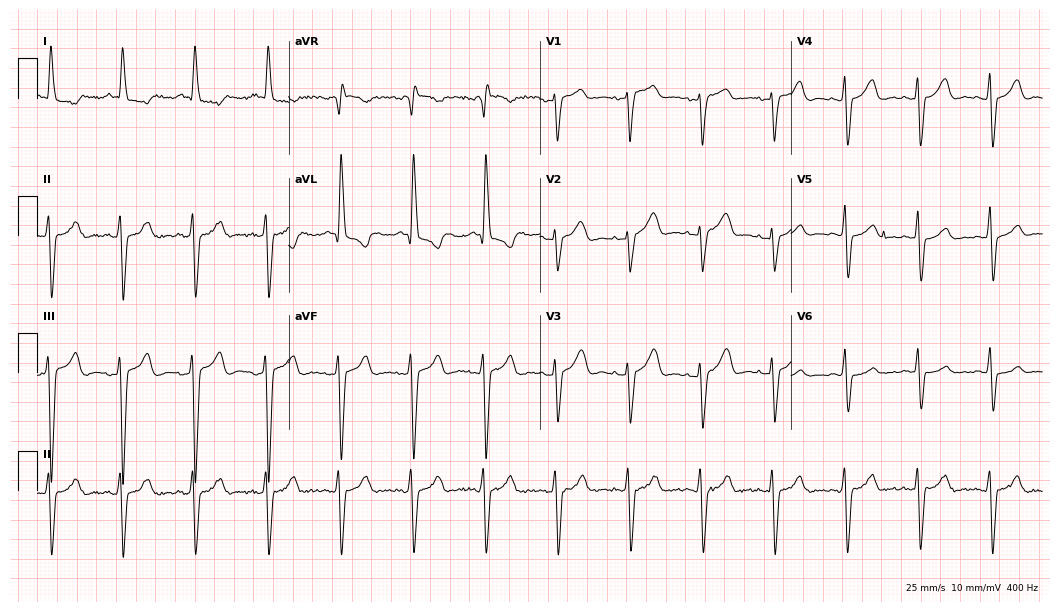
Resting 12-lead electrocardiogram. Patient: a female, 77 years old. The tracing shows left bundle branch block.